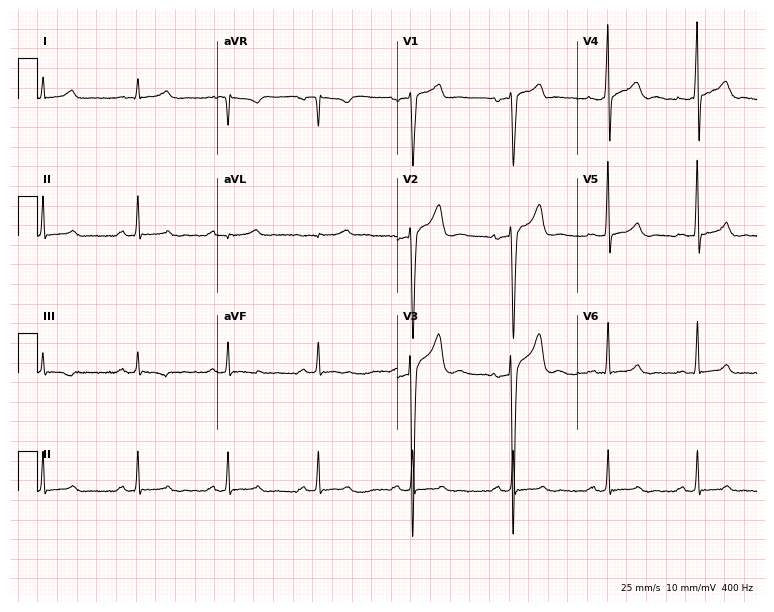
Resting 12-lead electrocardiogram. Patient: a 27-year-old male. None of these six findings is recorded: first-degree AV block, right bundle branch block, left bundle branch block, sinus bradycardia, atrial fibrillation, sinus tachycardia. Other findings, if any, are not listed.